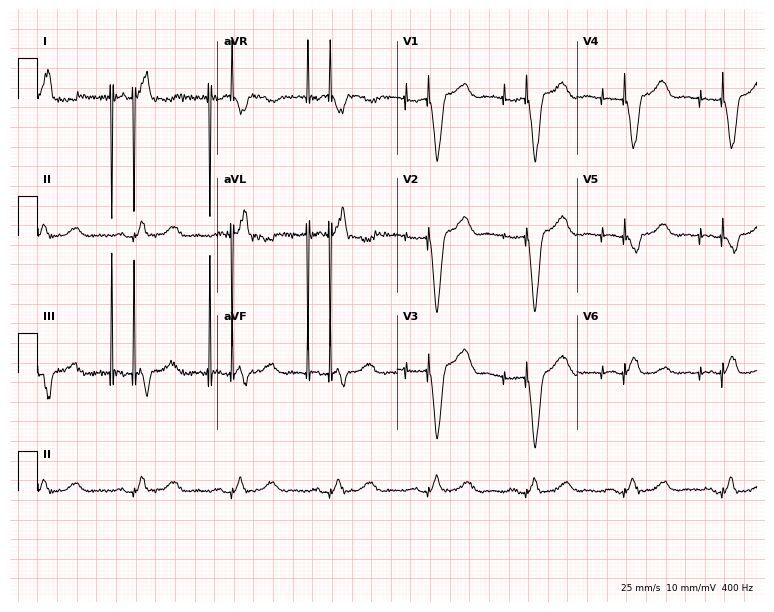
12-lead ECG from a female, 51 years old (7.3-second recording at 400 Hz). No first-degree AV block, right bundle branch block (RBBB), left bundle branch block (LBBB), sinus bradycardia, atrial fibrillation (AF) or sinus tachycardia recorded for this tracing. Only these six findings were labelled.